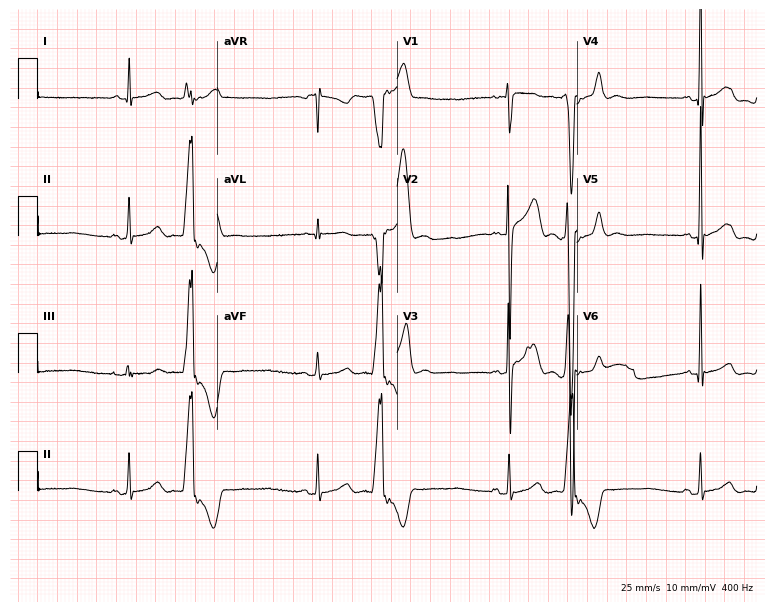
ECG (7.3-second recording at 400 Hz) — a male patient, 18 years old. Screened for six findings — first-degree AV block, right bundle branch block (RBBB), left bundle branch block (LBBB), sinus bradycardia, atrial fibrillation (AF), sinus tachycardia — none is recorded.